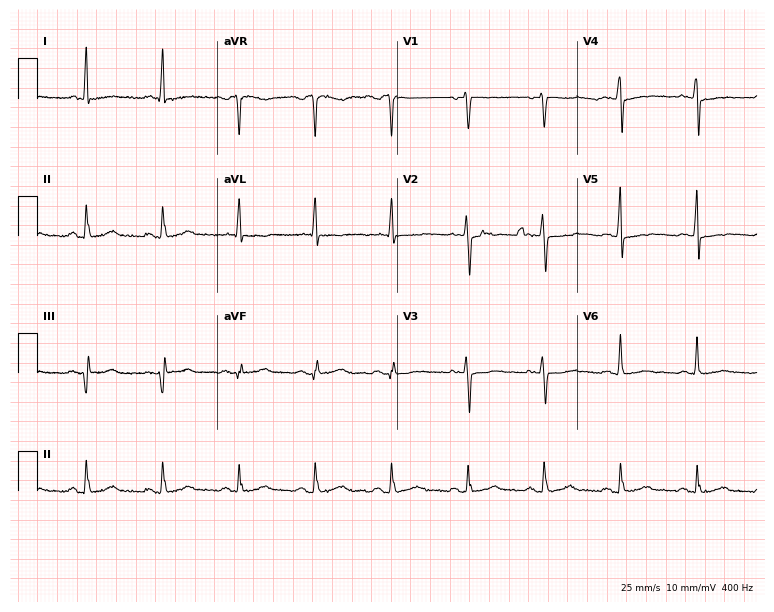
ECG (7.3-second recording at 400 Hz) — a woman, 62 years old. Screened for six findings — first-degree AV block, right bundle branch block, left bundle branch block, sinus bradycardia, atrial fibrillation, sinus tachycardia — none is recorded. Findings outside these six are not listed.